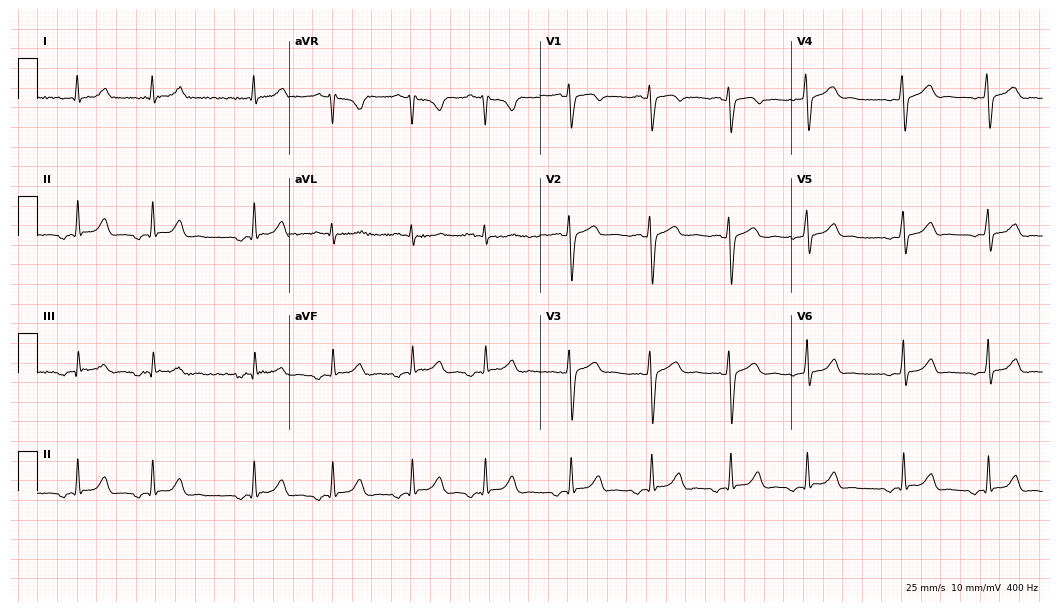
ECG — an 18-year-old woman. Screened for six findings — first-degree AV block, right bundle branch block, left bundle branch block, sinus bradycardia, atrial fibrillation, sinus tachycardia — none is recorded. Only these six findings were labelled.